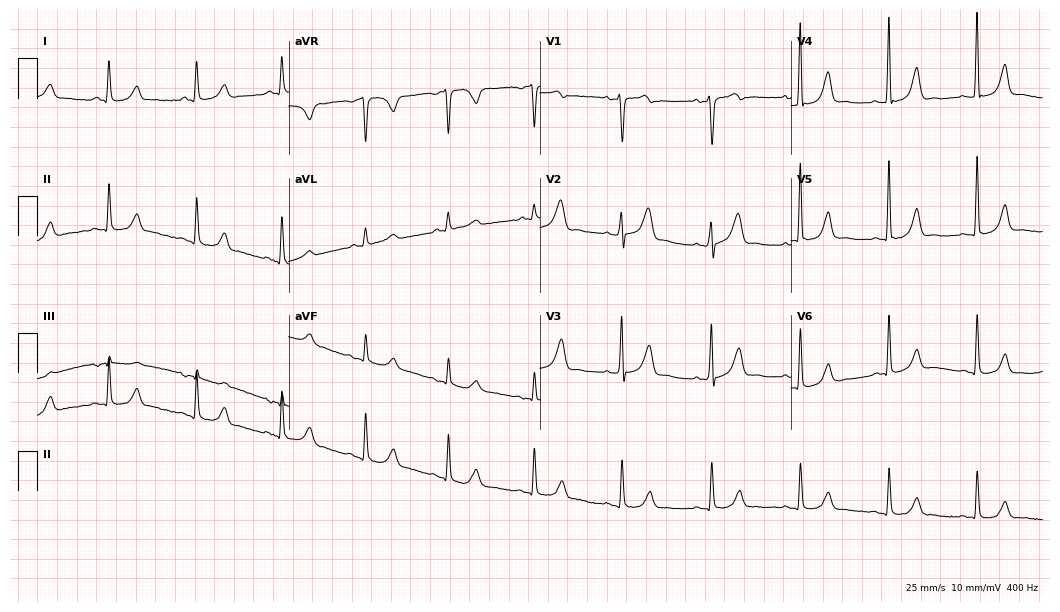
Standard 12-lead ECG recorded from a 58-year-old female. Read as a normal ECG.